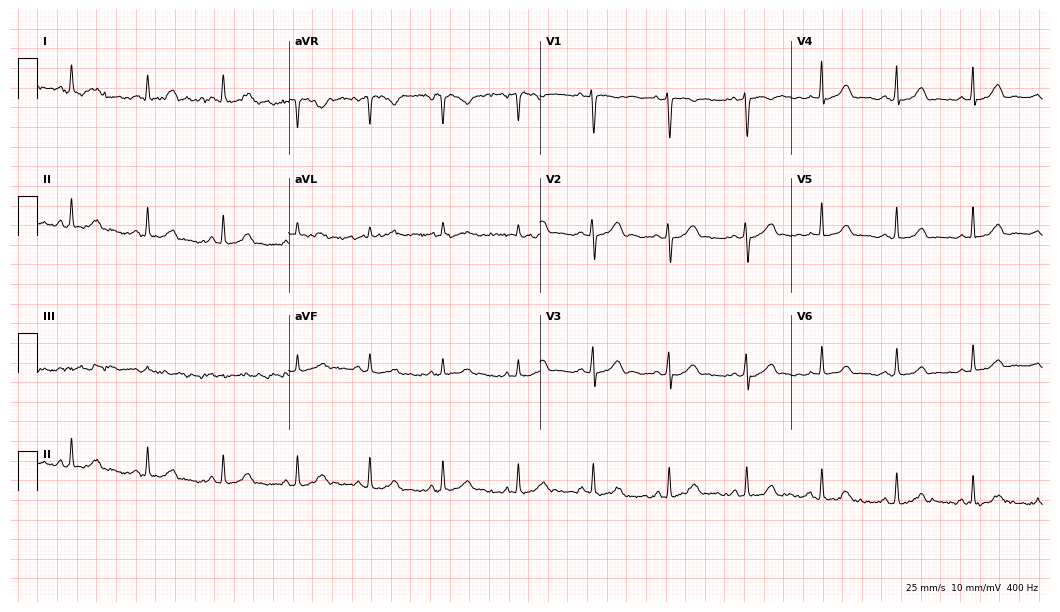
Standard 12-lead ECG recorded from a 31-year-old female patient (10.2-second recording at 400 Hz). Read as a normal ECG.